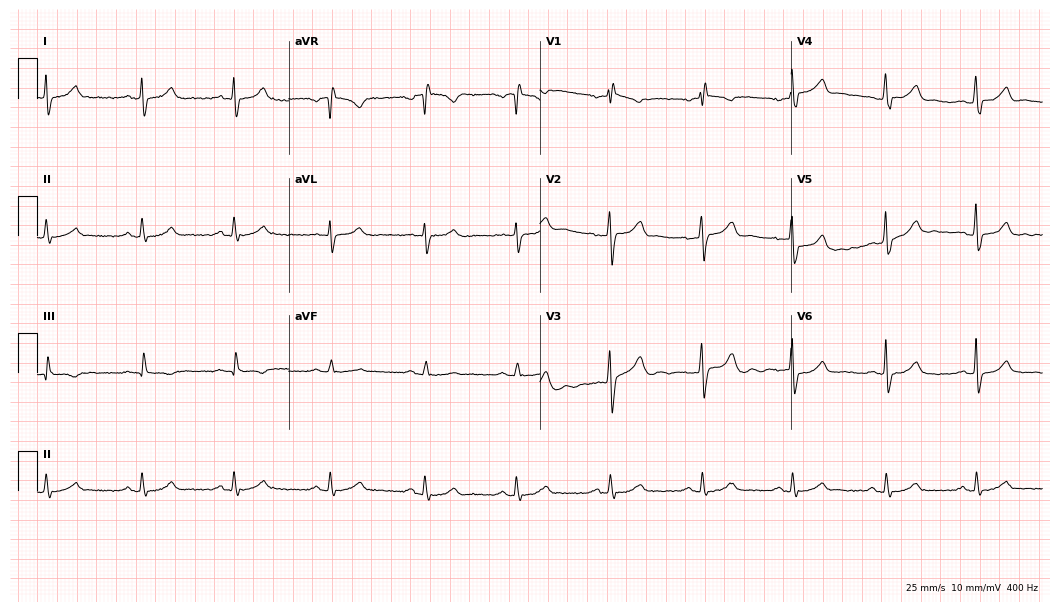
12-lead ECG (10.2-second recording at 400 Hz) from a man, 41 years old. Labelled as a normal ECG.